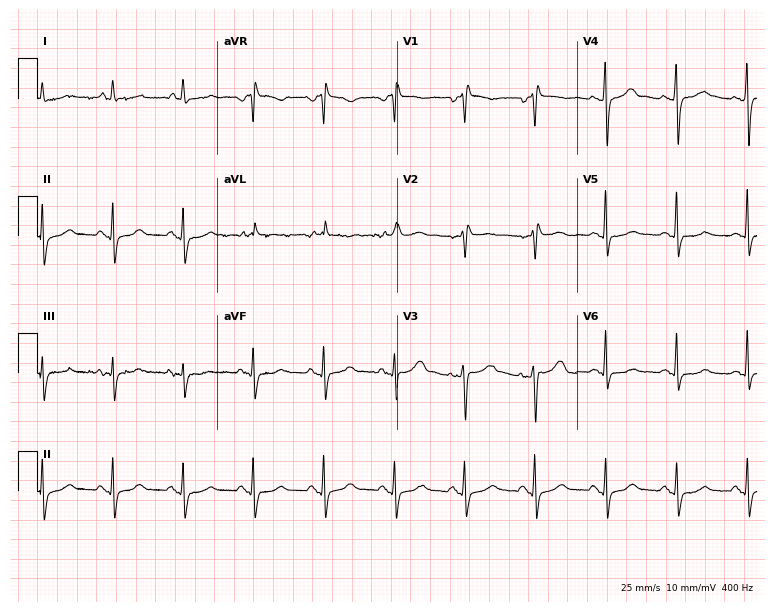
12-lead ECG from a 60-year-old woman. Screened for six findings — first-degree AV block, right bundle branch block, left bundle branch block, sinus bradycardia, atrial fibrillation, sinus tachycardia — none is recorded. Other findings, if any, are not listed.